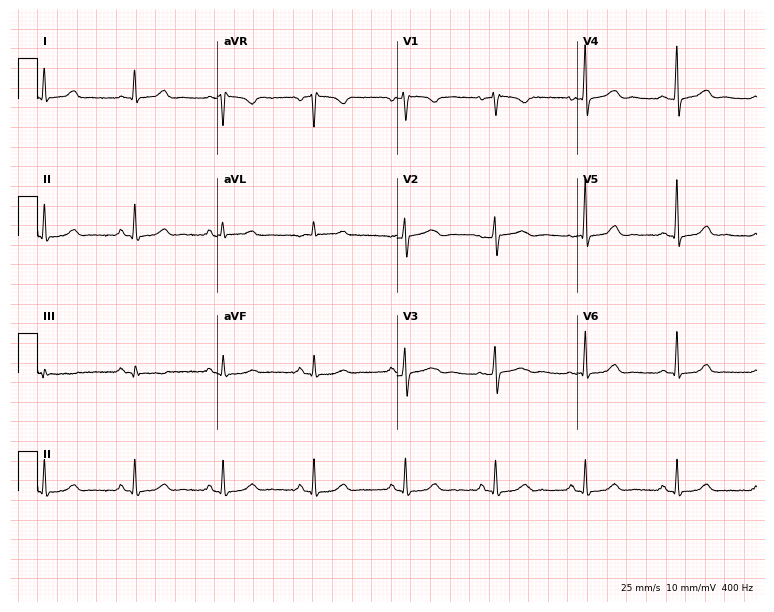
12-lead ECG (7.3-second recording at 400 Hz) from a female, 49 years old. Labelled as a normal ECG.